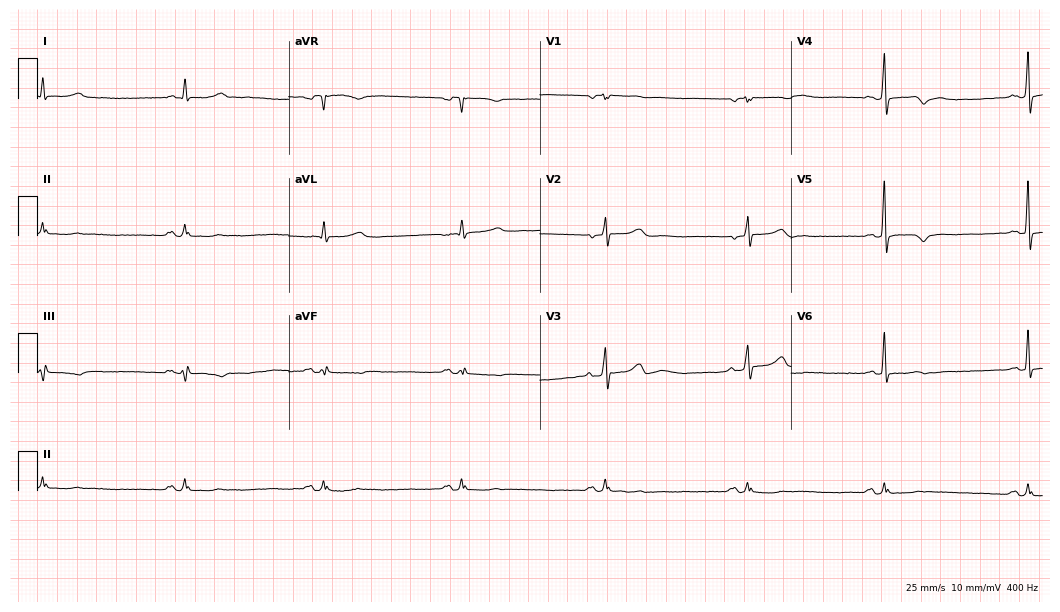
Standard 12-lead ECG recorded from a male, 85 years old (10.2-second recording at 400 Hz). None of these six findings is recorded: first-degree AV block, right bundle branch block (RBBB), left bundle branch block (LBBB), sinus bradycardia, atrial fibrillation (AF), sinus tachycardia.